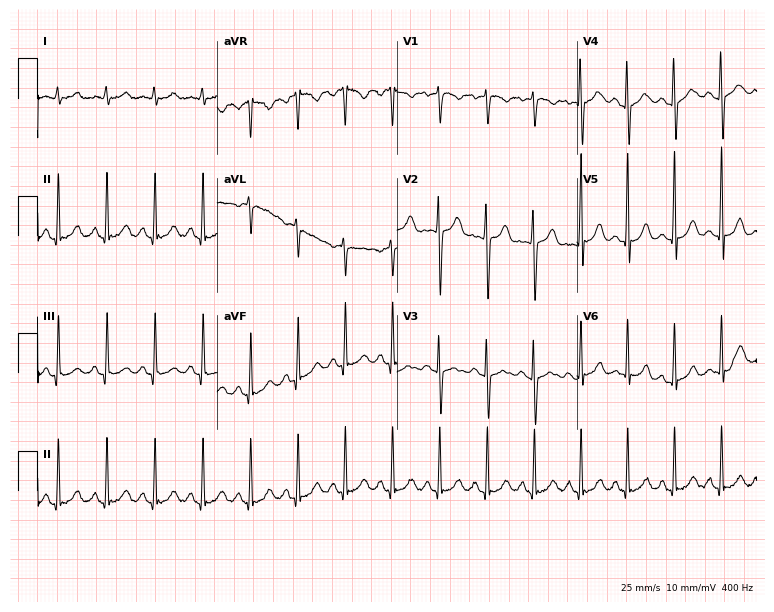
Resting 12-lead electrocardiogram. Patient: a 26-year-old woman. The tracing shows sinus tachycardia (a sinus rate of 100 beats per minute or more).